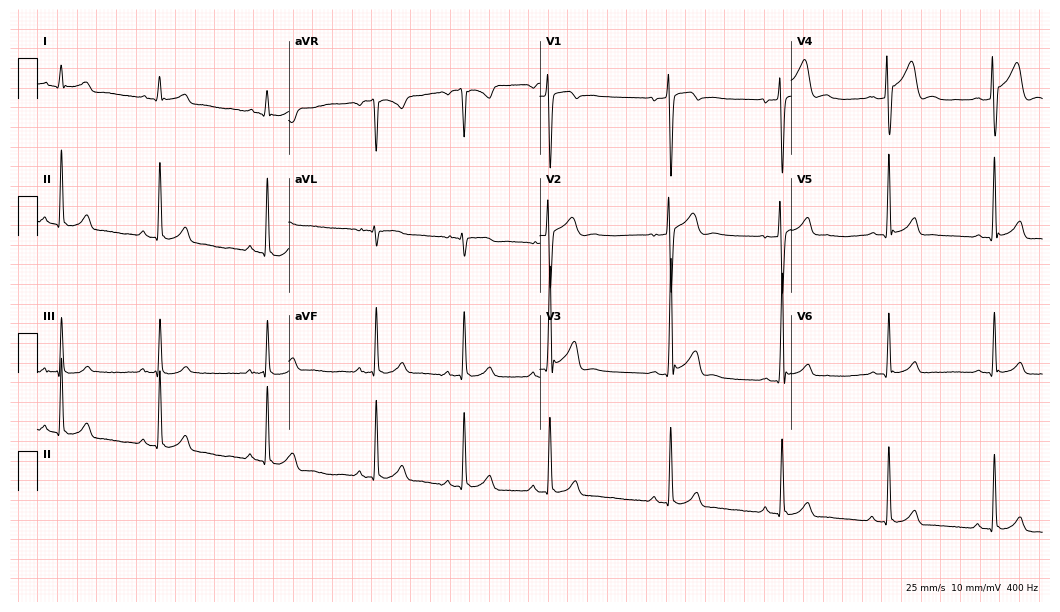
ECG — a 20-year-old male patient. Labelled as a normal ECG.